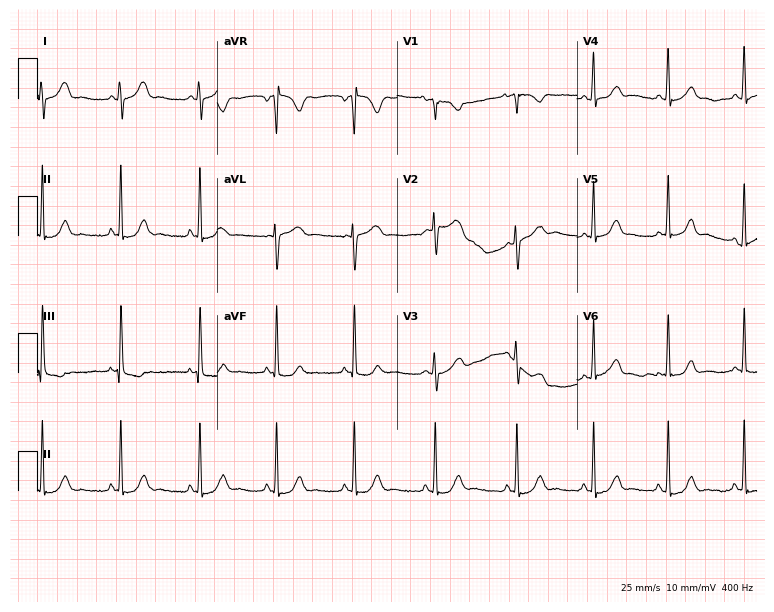
Resting 12-lead electrocardiogram. Patient: a female, 30 years old. None of these six findings is recorded: first-degree AV block, right bundle branch block, left bundle branch block, sinus bradycardia, atrial fibrillation, sinus tachycardia. Findings outside these six are not listed.